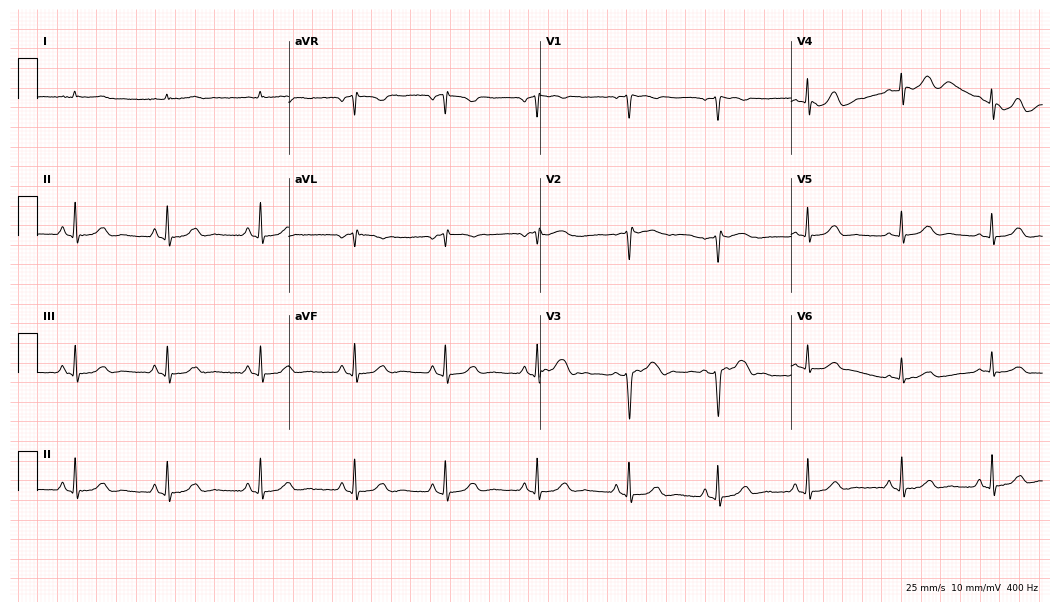
ECG (10.2-second recording at 400 Hz) — a woman, 55 years old. Labelled as a normal ECG.